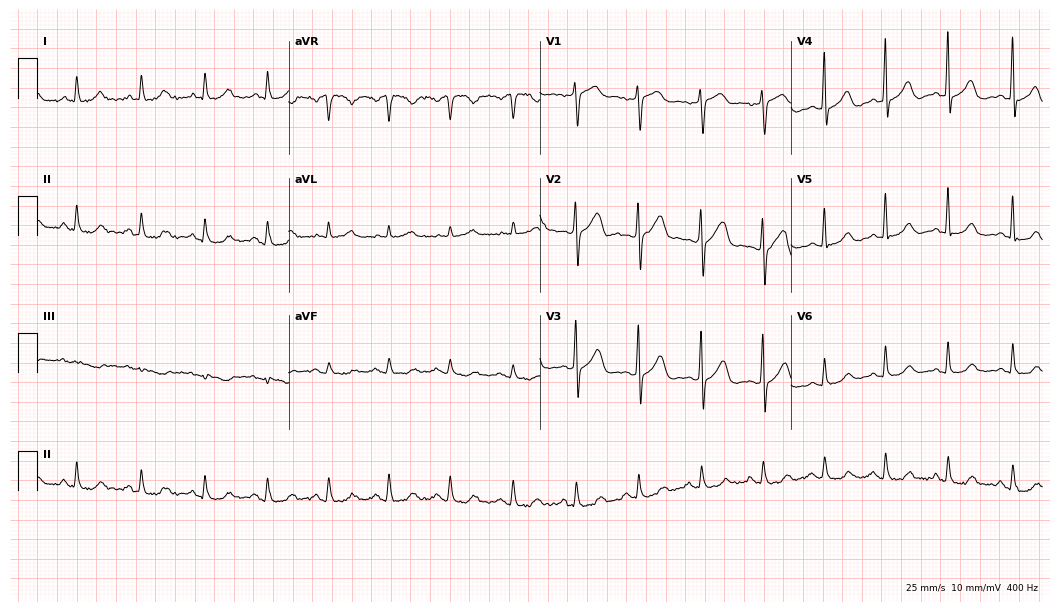
ECG (10.2-second recording at 400 Hz) — a 63-year-old female patient. Screened for six findings — first-degree AV block, right bundle branch block, left bundle branch block, sinus bradycardia, atrial fibrillation, sinus tachycardia — none is recorded.